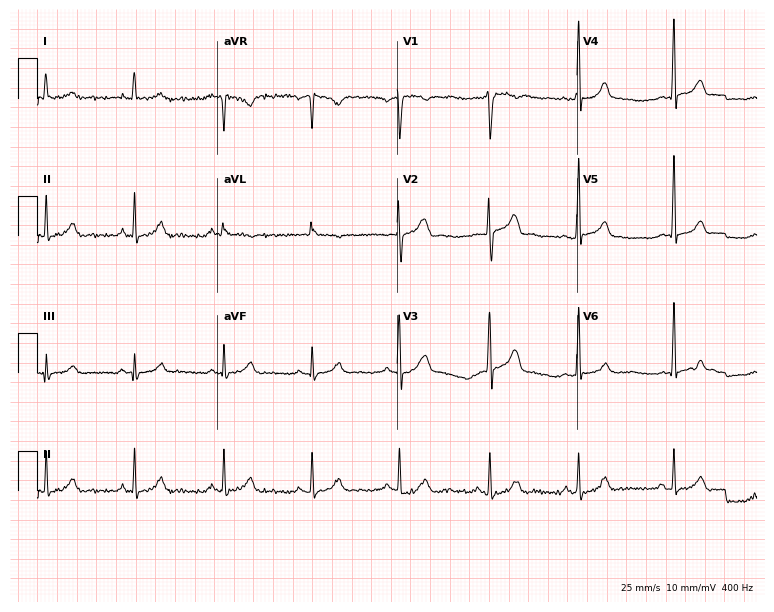
ECG (7.3-second recording at 400 Hz) — a 28-year-old man. Screened for six findings — first-degree AV block, right bundle branch block, left bundle branch block, sinus bradycardia, atrial fibrillation, sinus tachycardia — none is recorded. Only these six findings were labelled.